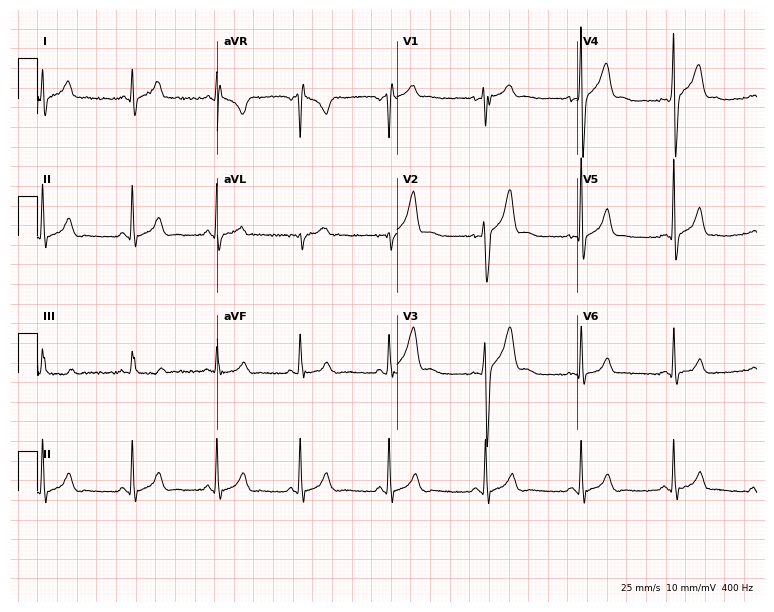
ECG (7.3-second recording at 400 Hz) — a male patient, 30 years old. Screened for six findings — first-degree AV block, right bundle branch block (RBBB), left bundle branch block (LBBB), sinus bradycardia, atrial fibrillation (AF), sinus tachycardia — none is recorded. Findings outside these six are not listed.